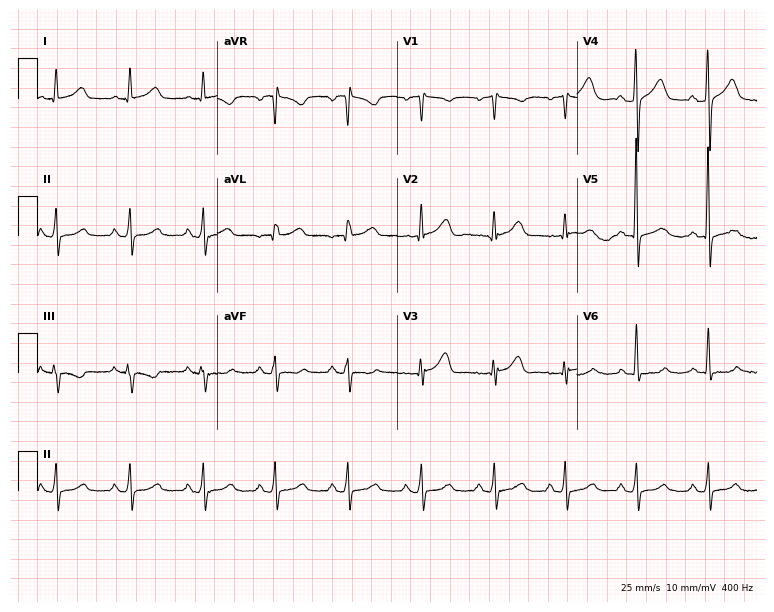
12-lead ECG from a male, 79 years old. Screened for six findings — first-degree AV block, right bundle branch block, left bundle branch block, sinus bradycardia, atrial fibrillation, sinus tachycardia — none is recorded. Findings outside these six are not listed.